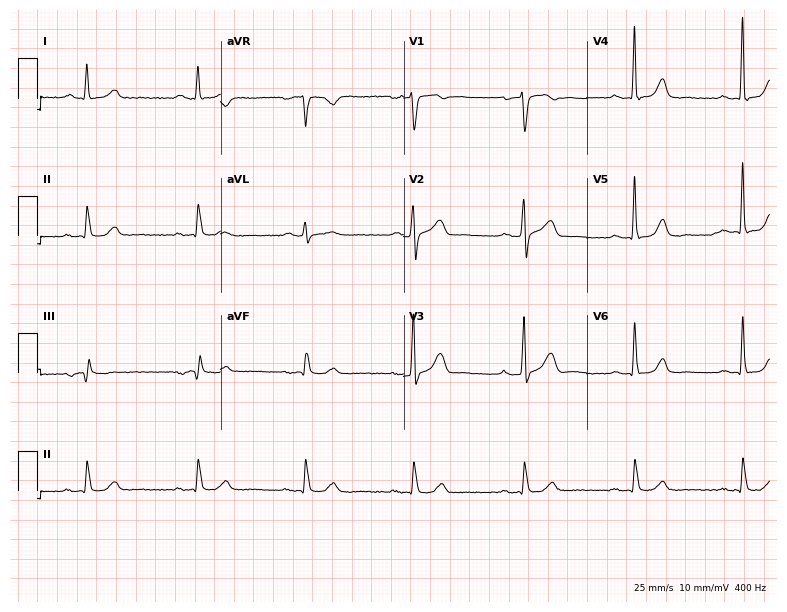
Electrocardiogram, a 60-year-old male. Overall reading on record: normal ECG.